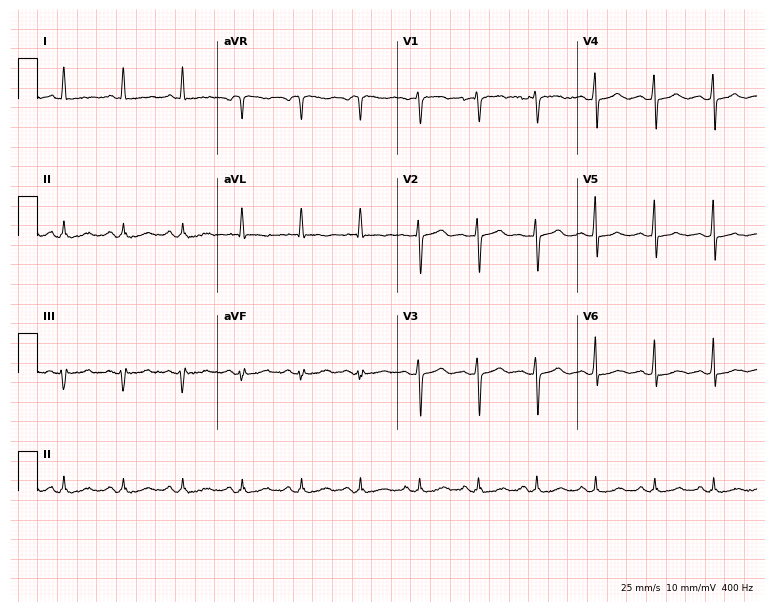
Resting 12-lead electrocardiogram. Patient: a 73-year-old female. Read as a normal ECG.